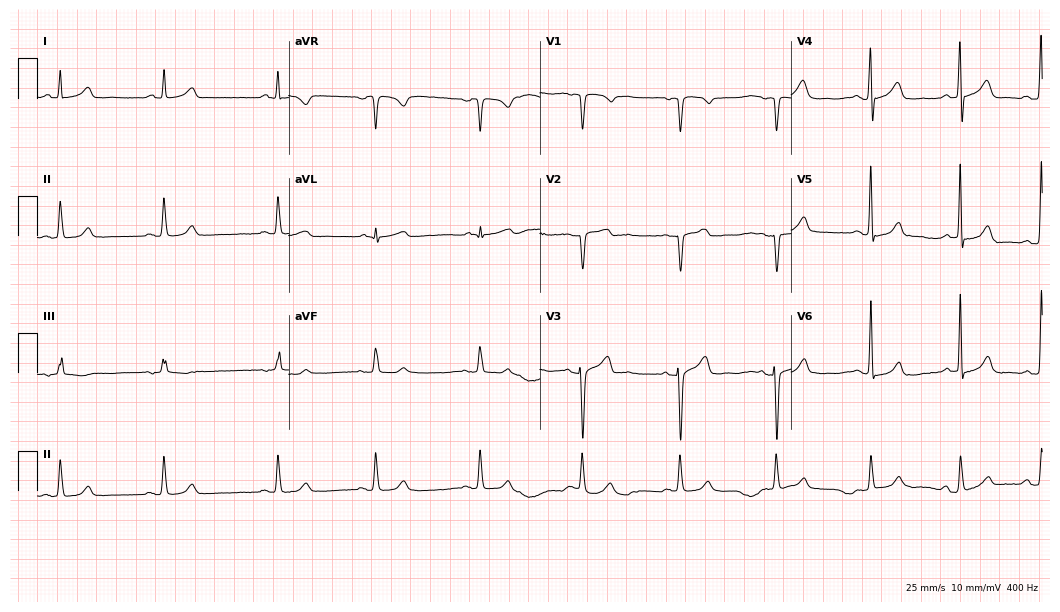
Resting 12-lead electrocardiogram (10.2-second recording at 400 Hz). Patient: a 33-year-old woman. Read as a normal ECG.